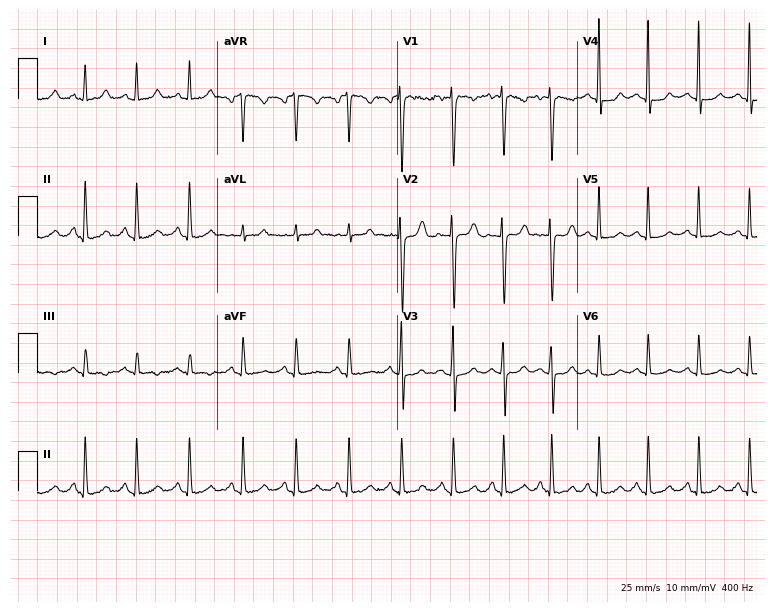
Resting 12-lead electrocardiogram (7.3-second recording at 400 Hz). Patient: a 24-year-old female. The tracing shows sinus tachycardia (a sinus rate of 100 beats per minute or more).